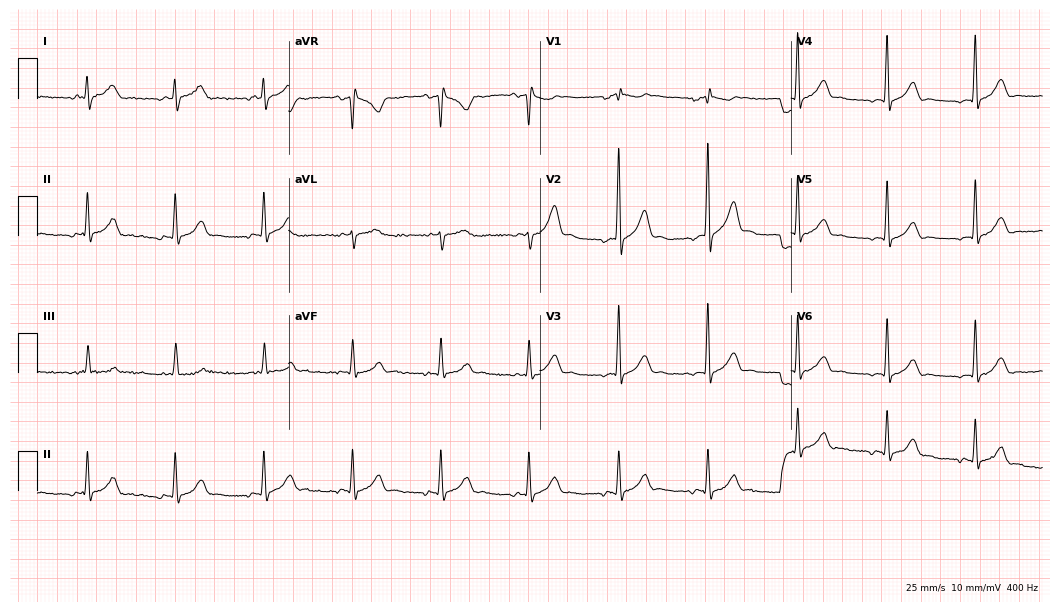
ECG (10.2-second recording at 400 Hz) — a male, 33 years old. Screened for six findings — first-degree AV block, right bundle branch block, left bundle branch block, sinus bradycardia, atrial fibrillation, sinus tachycardia — none is recorded.